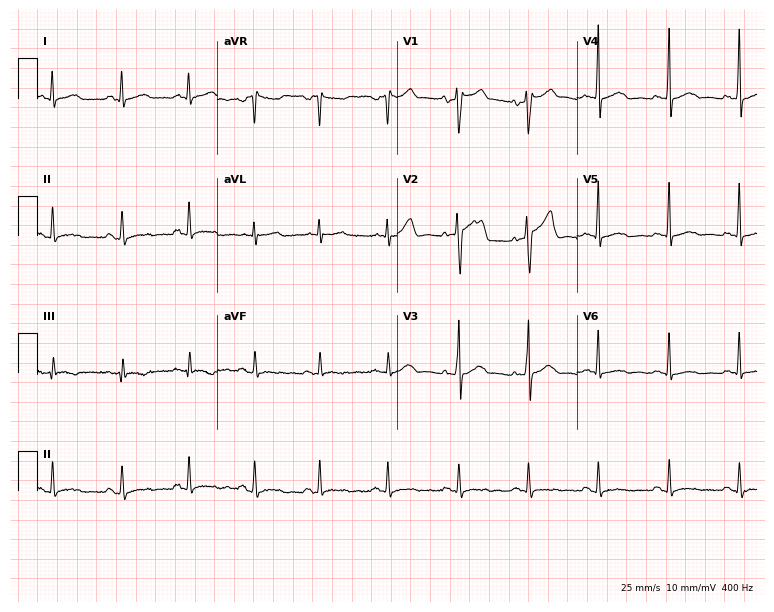
12-lead ECG (7.3-second recording at 400 Hz) from a male, 48 years old. Screened for six findings — first-degree AV block, right bundle branch block, left bundle branch block, sinus bradycardia, atrial fibrillation, sinus tachycardia — none is recorded. Only these six findings were labelled.